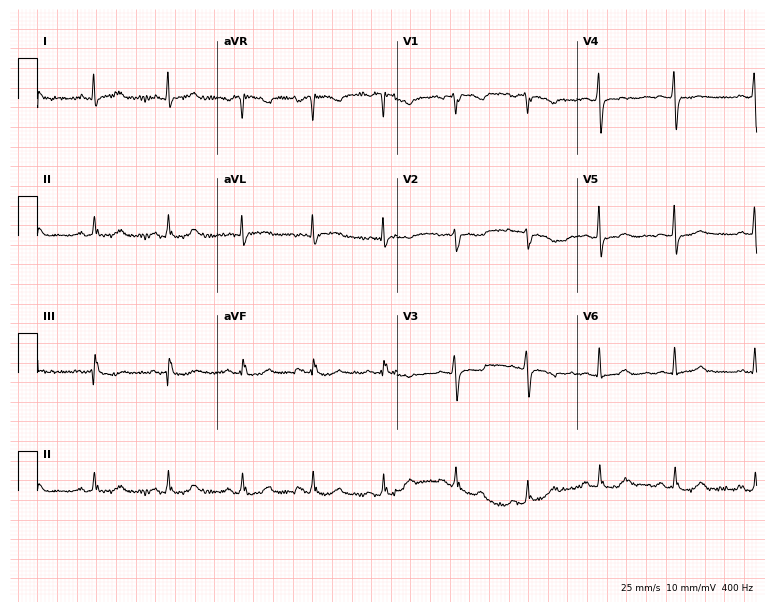
Electrocardiogram (7.3-second recording at 400 Hz), a 58-year-old female. Of the six screened findings (first-degree AV block, right bundle branch block, left bundle branch block, sinus bradycardia, atrial fibrillation, sinus tachycardia), none is recorded.